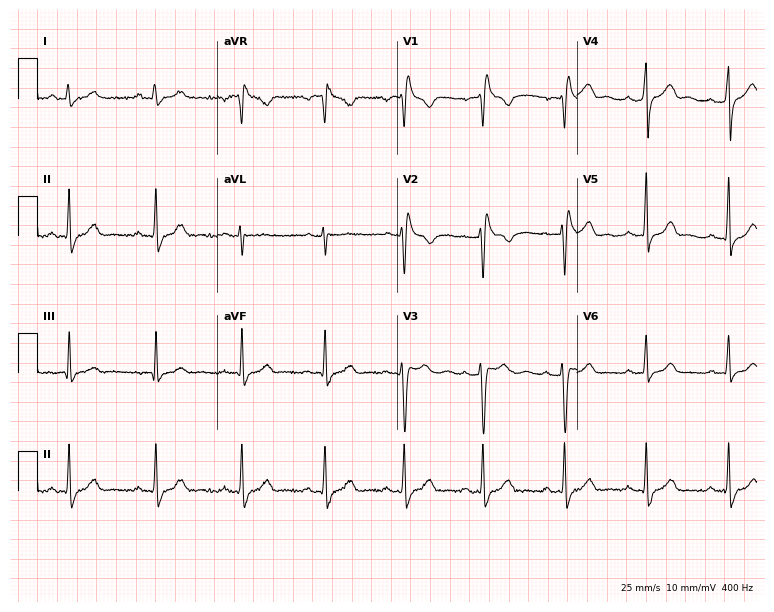
ECG (7.3-second recording at 400 Hz) — a woman, 22 years old. Findings include right bundle branch block (RBBB).